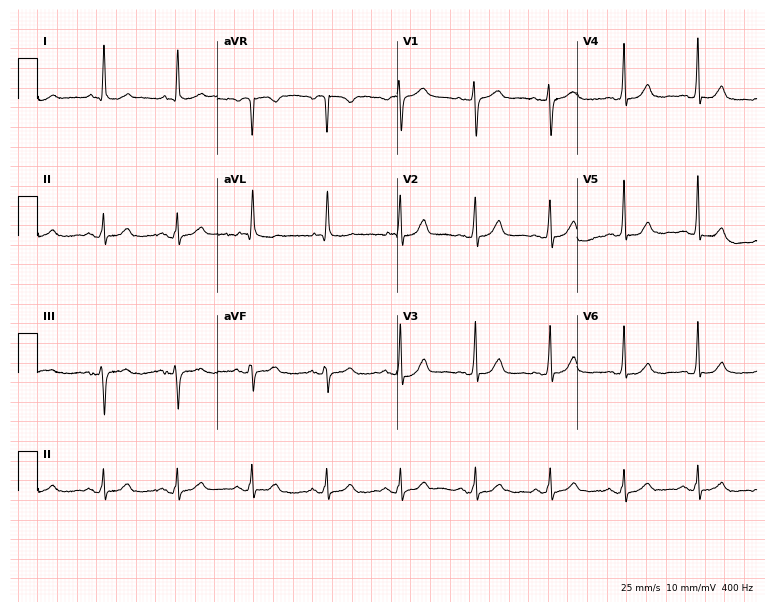
Standard 12-lead ECG recorded from a woman, 73 years old. Read as a normal ECG.